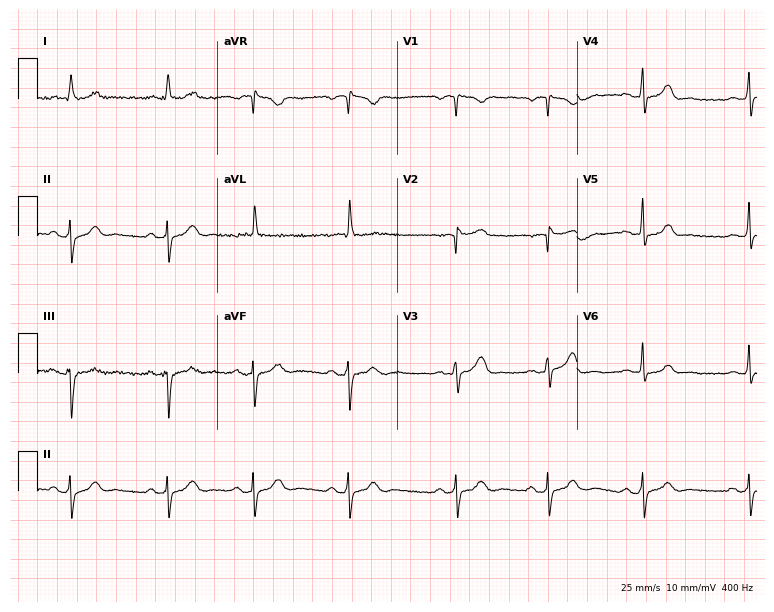
ECG — a male patient, 45 years old. Screened for six findings — first-degree AV block, right bundle branch block, left bundle branch block, sinus bradycardia, atrial fibrillation, sinus tachycardia — none is recorded.